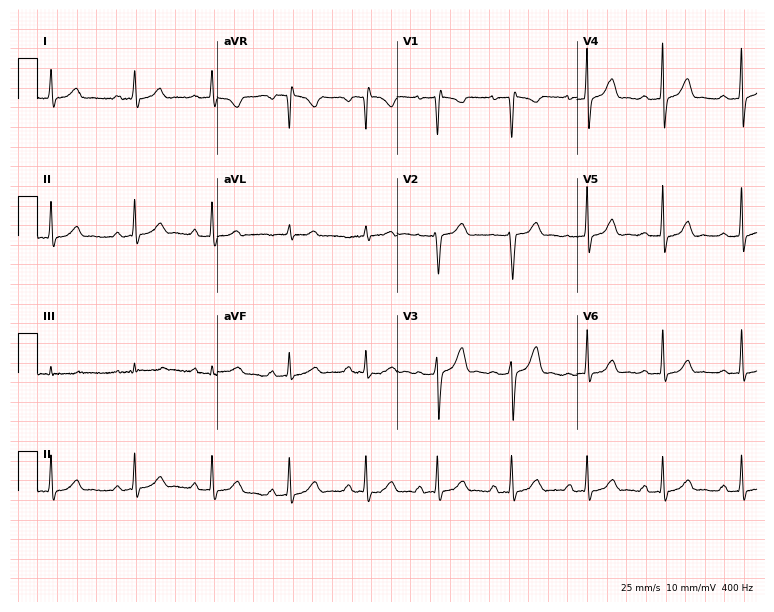
Electrocardiogram (7.3-second recording at 400 Hz), a female, 21 years old. Of the six screened findings (first-degree AV block, right bundle branch block, left bundle branch block, sinus bradycardia, atrial fibrillation, sinus tachycardia), none is recorded.